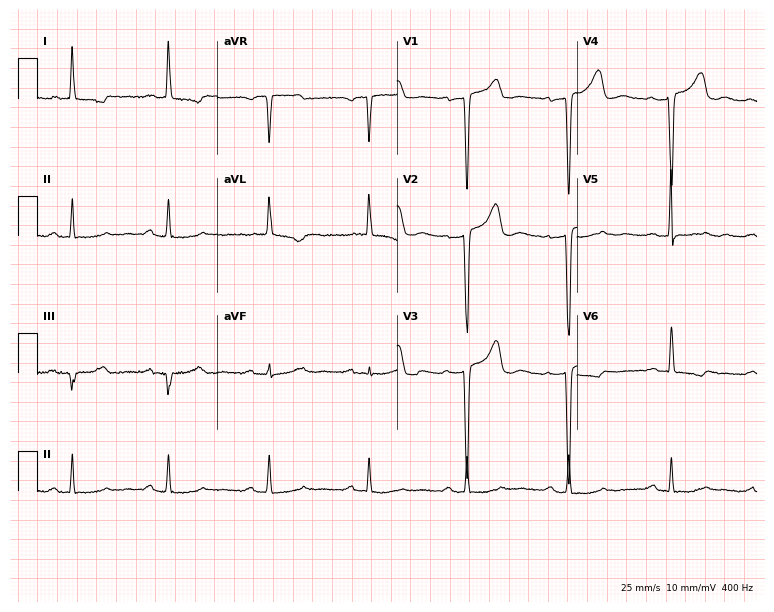
Standard 12-lead ECG recorded from a woman, 68 years old (7.3-second recording at 400 Hz). None of these six findings is recorded: first-degree AV block, right bundle branch block, left bundle branch block, sinus bradycardia, atrial fibrillation, sinus tachycardia.